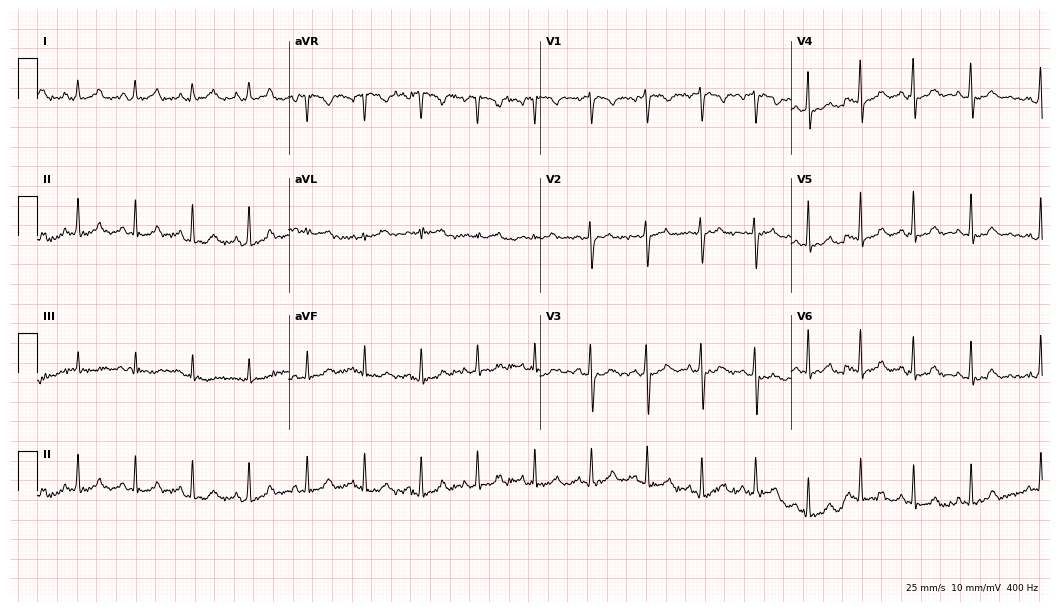
12-lead ECG (10.2-second recording at 400 Hz) from a female, 26 years old. Findings include sinus tachycardia (a sinus rate of 100 beats per minute or more).